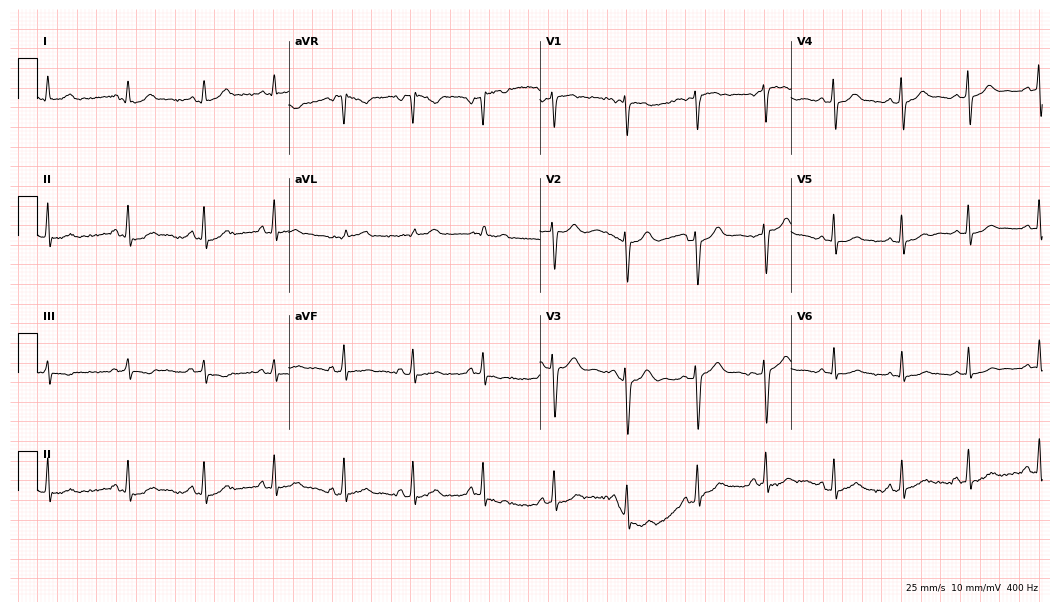
Electrocardiogram (10.2-second recording at 400 Hz), a female patient, 39 years old. Of the six screened findings (first-degree AV block, right bundle branch block, left bundle branch block, sinus bradycardia, atrial fibrillation, sinus tachycardia), none is recorded. Other findings, if any, are not listed.